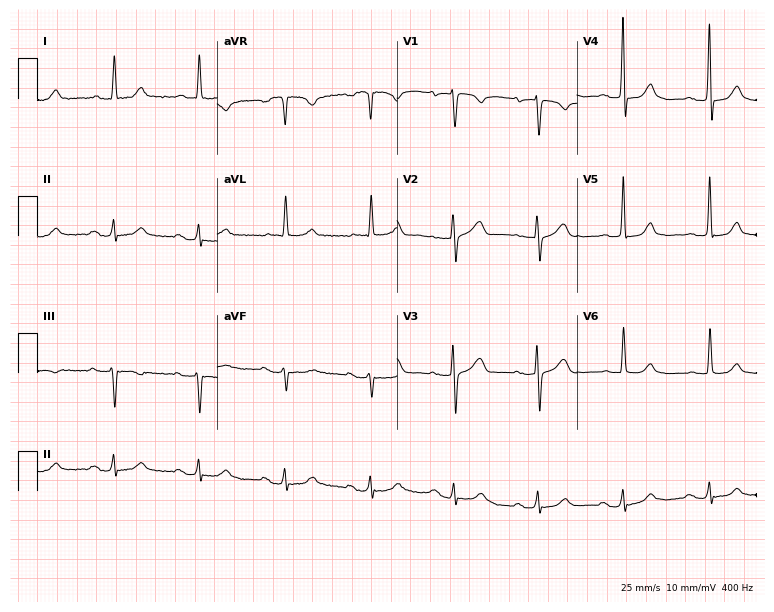
Resting 12-lead electrocardiogram. Patient: a 78-year-old female. The tracing shows first-degree AV block.